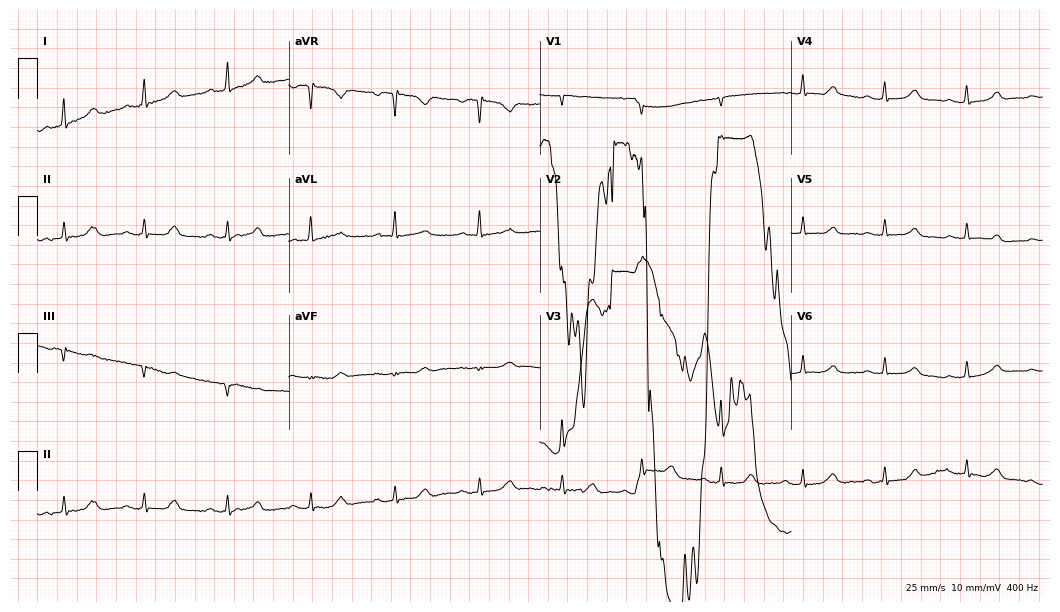
ECG — a 64-year-old female patient. Screened for six findings — first-degree AV block, right bundle branch block (RBBB), left bundle branch block (LBBB), sinus bradycardia, atrial fibrillation (AF), sinus tachycardia — none is recorded. Other findings, if any, are not listed.